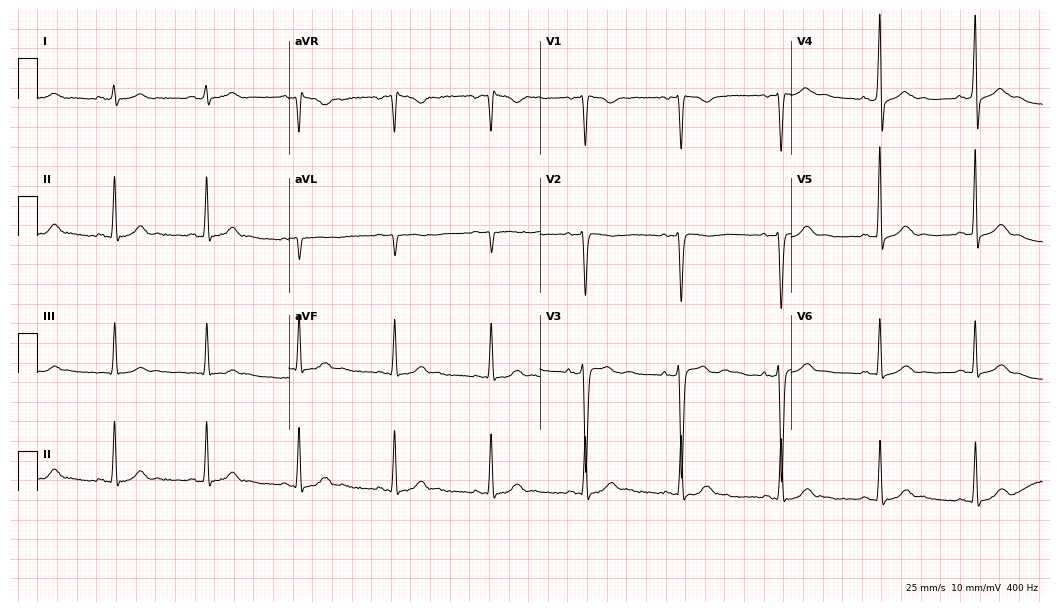
12-lead ECG from a 40-year-old male. Recorded interpretation: within normal limits.